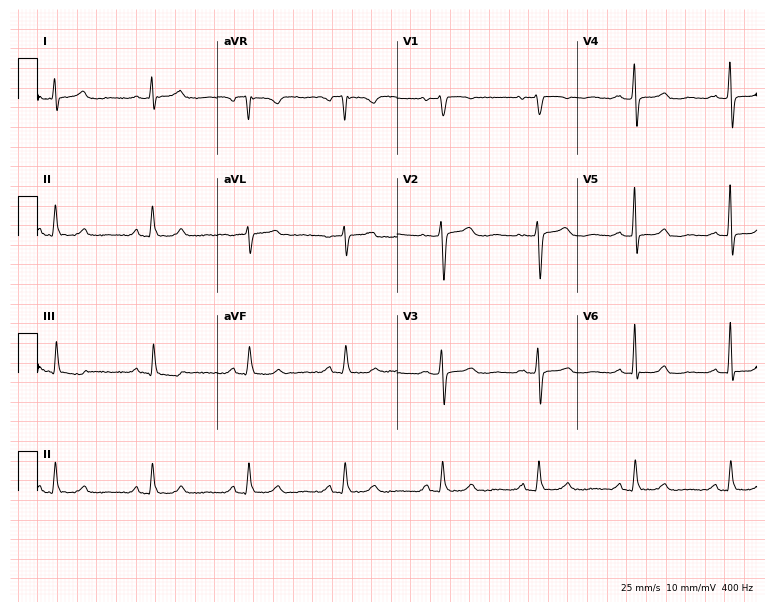
12-lead ECG from a 56-year-old female. Screened for six findings — first-degree AV block, right bundle branch block, left bundle branch block, sinus bradycardia, atrial fibrillation, sinus tachycardia — none is recorded. Other findings, if any, are not listed.